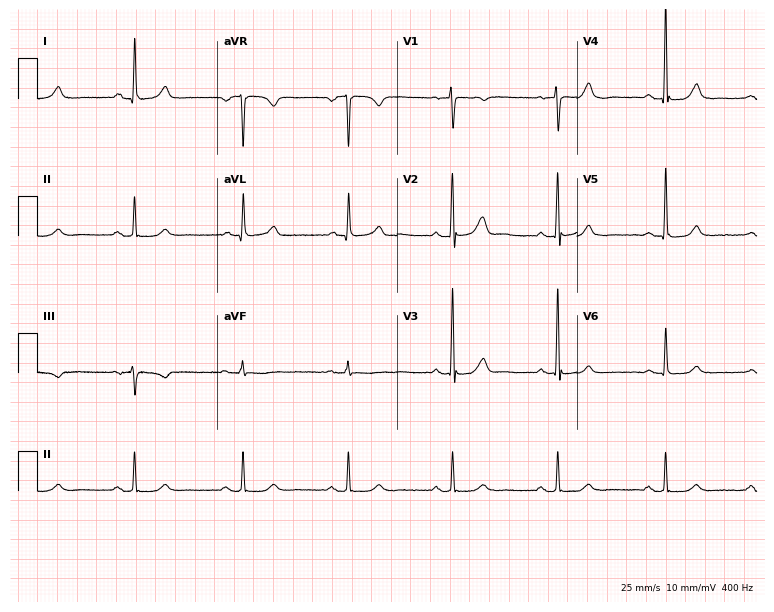
12-lead ECG from a 54-year-old female. Labelled as a normal ECG.